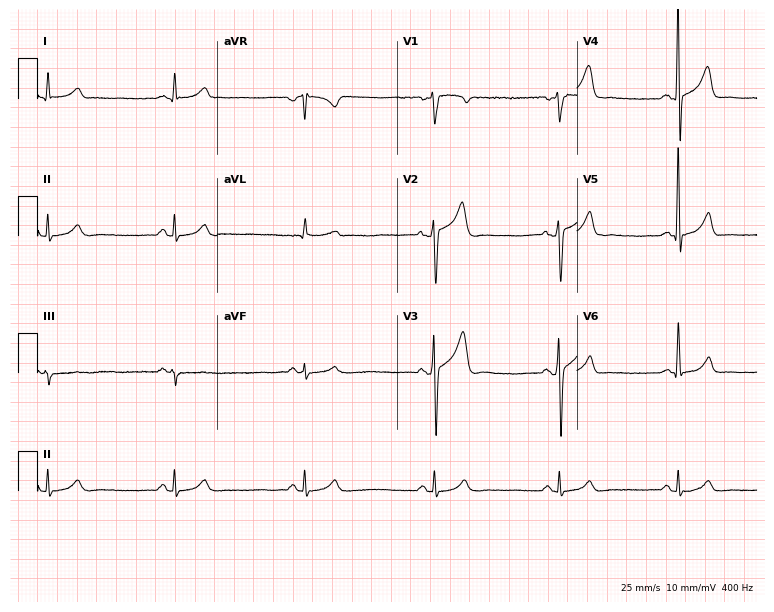
12-lead ECG from a 49-year-old male. Labelled as a normal ECG.